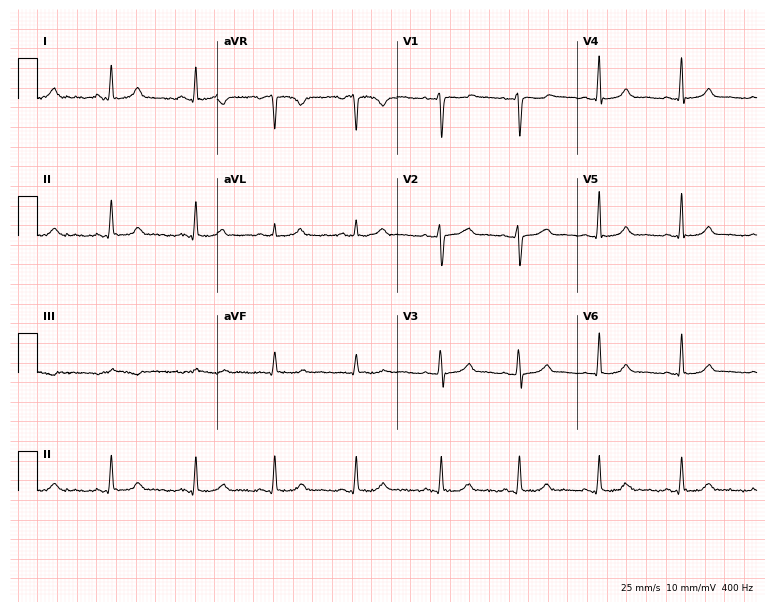
Resting 12-lead electrocardiogram. Patient: a man, 42 years old. Read as a normal ECG.